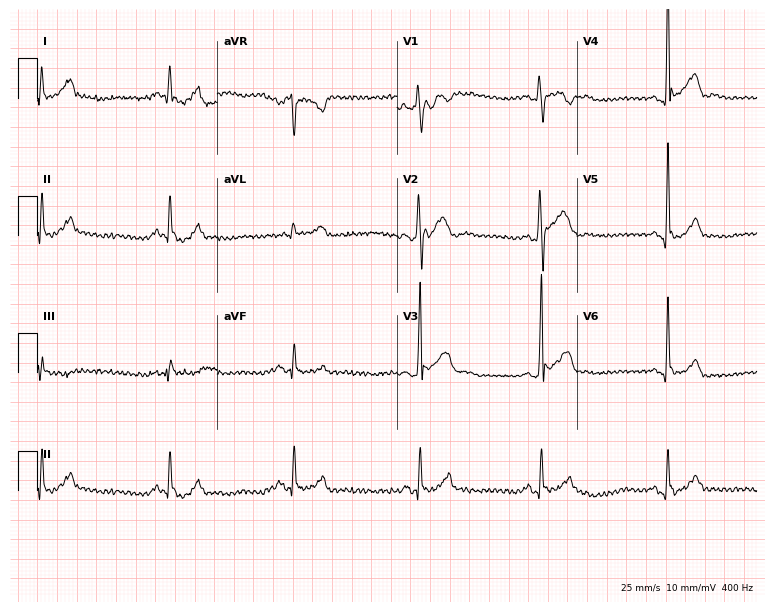
12-lead ECG from a male patient, 28 years old. Screened for six findings — first-degree AV block, right bundle branch block, left bundle branch block, sinus bradycardia, atrial fibrillation, sinus tachycardia — none is recorded.